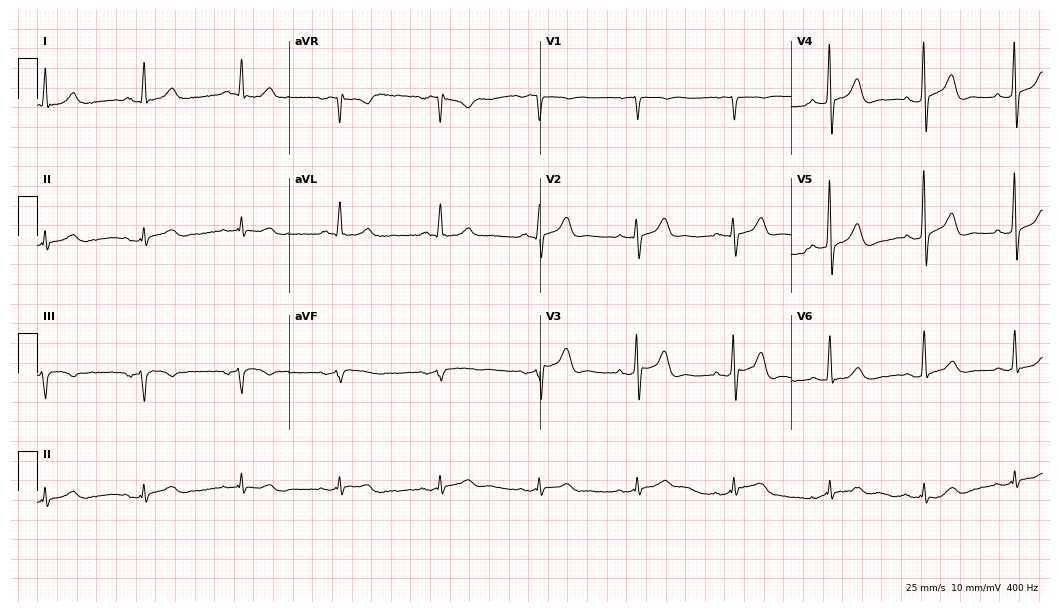
Electrocardiogram, an 81-year-old male. Overall reading on record: normal ECG.